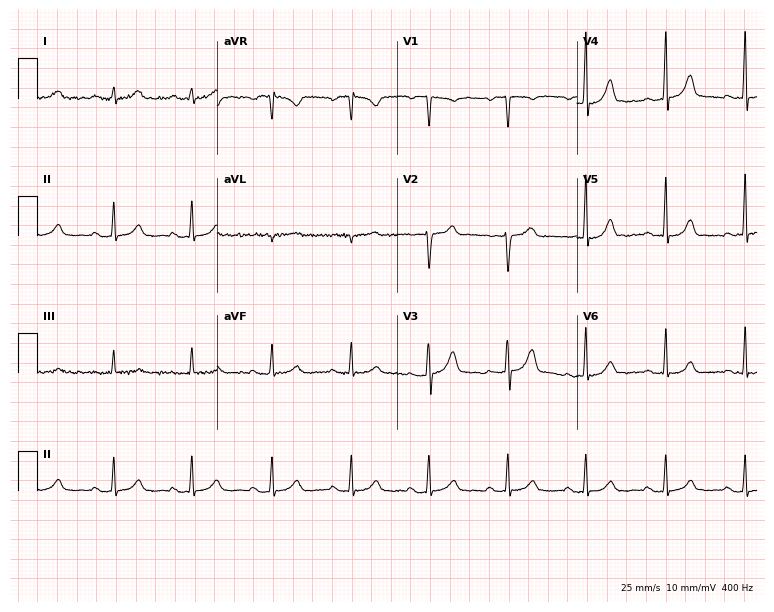
ECG (7.3-second recording at 400 Hz) — a 56-year-old woman. Labelled as a normal ECG.